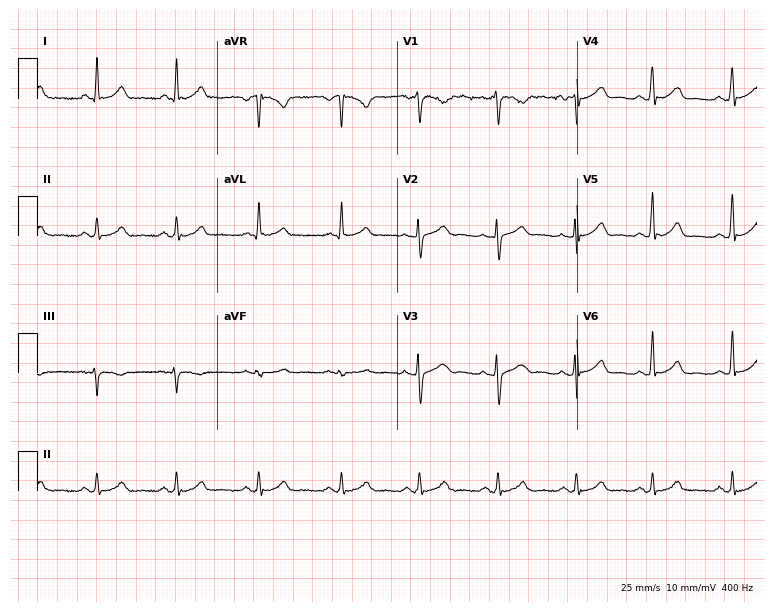
ECG (7.3-second recording at 400 Hz) — a female patient, 27 years old. Labelled as a normal ECG.